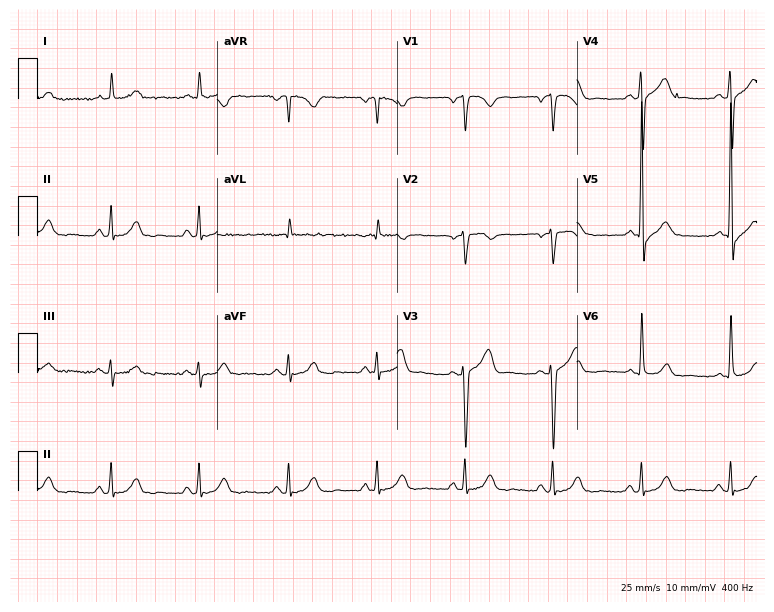
Resting 12-lead electrocardiogram (7.3-second recording at 400 Hz). Patient: a 55-year-old male. None of these six findings is recorded: first-degree AV block, right bundle branch block (RBBB), left bundle branch block (LBBB), sinus bradycardia, atrial fibrillation (AF), sinus tachycardia.